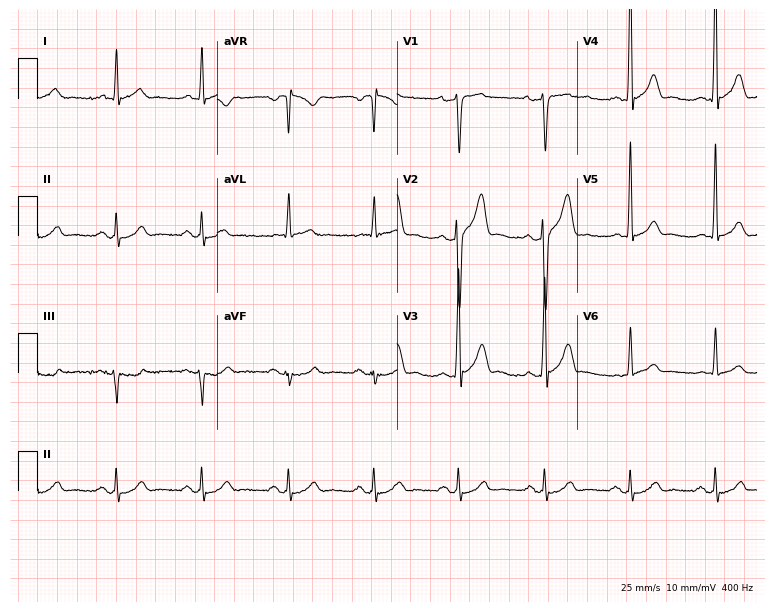
12-lead ECG from a 46-year-old male patient. Recorded interpretation: within normal limits.